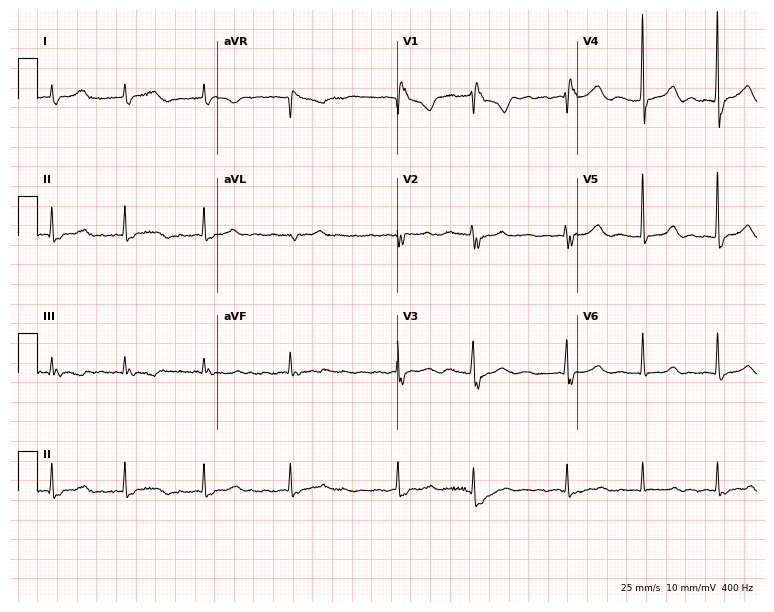
Standard 12-lead ECG recorded from a female, 76 years old (7.3-second recording at 400 Hz). The tracing shows right bundle branch block (RBBB), atrial fibrillation (AF).